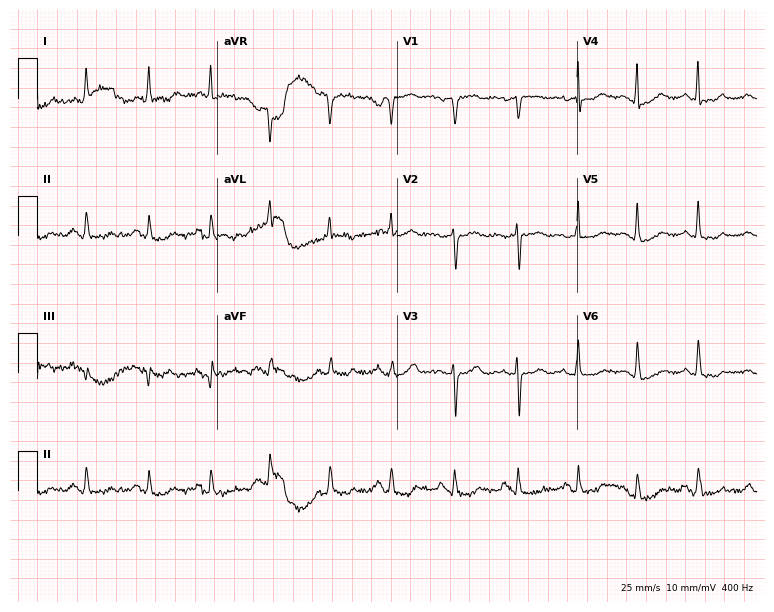
12-lead ECG (7.3-second recording at 400 Hz) from a female patient, 77 years old. Screened for six findings — first-degree AV block, right bundle branch block, left bundle branch block, sinus bradycardia, atrial fibrillation, sinus tachycardia — none is recorded.